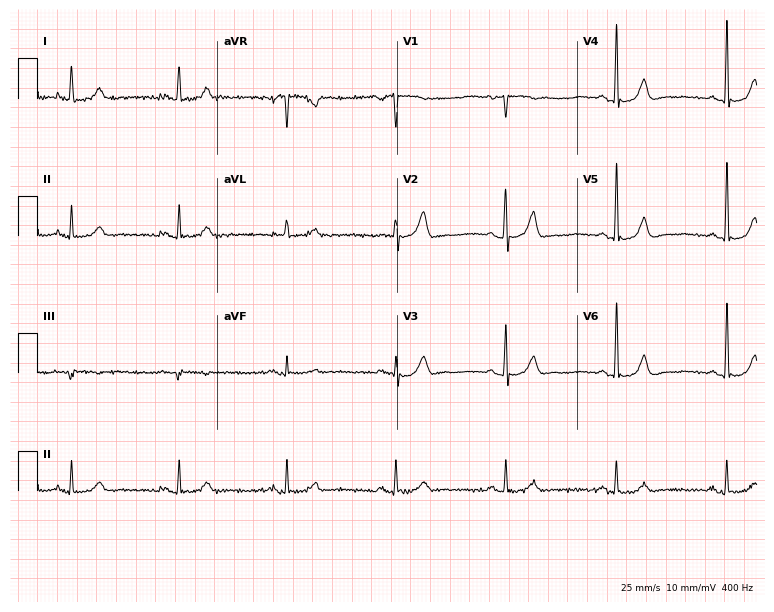
12-lead ECG (7.3-second recording at 400 Hz) from a 71-year-old male. Labelled as a normal ECG.